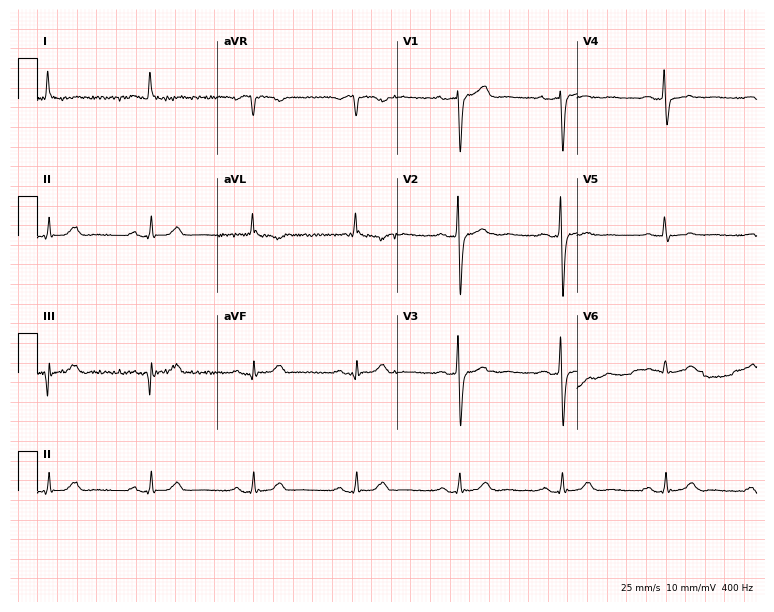
Resting 12-lead electrocardiogram. Patient: a male, 61 years old. None of these six findings is recorded: first-degree AV block, right bundle branch block, left bundle branch block, sinus bradycardia, atrial fibrillation, sinus tachycardia. Other findings, if any, are not listed.